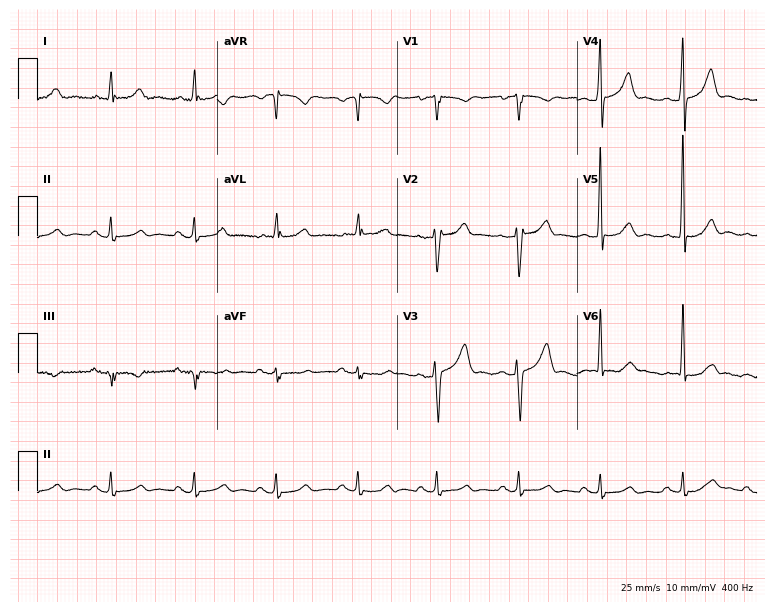
12-lead ECG from a male patient, 44 years old. Labelled as a normal ECG.